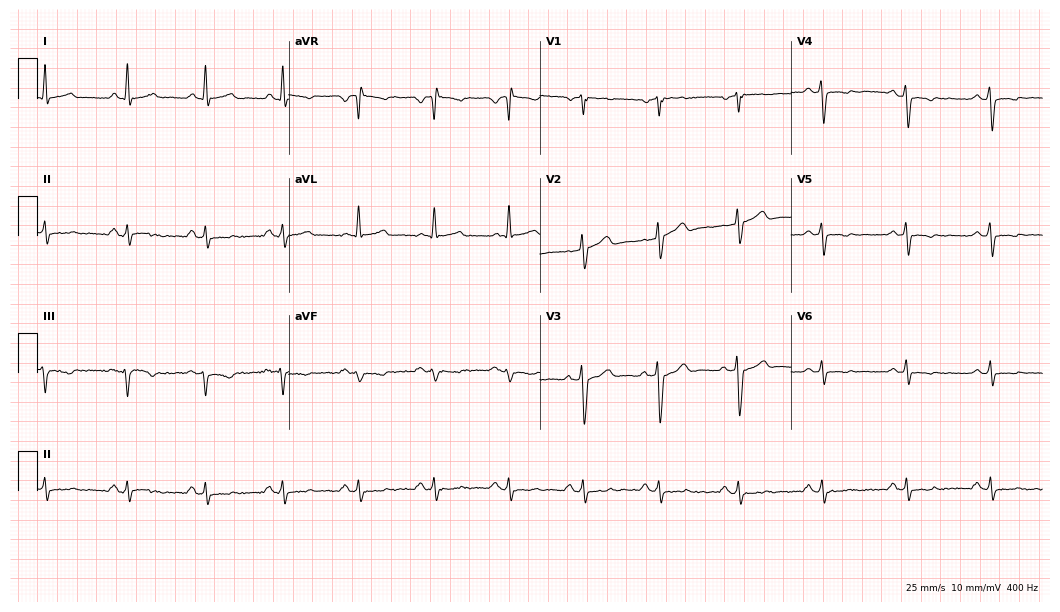
12-lead ECG from a 29-year-old male (10.2-second recording at 400 Hz). No first-degree AV block, right bundle branch block, left bundle branch block, sinus bradycardia, atrial fibrillation or sinus tachycardia recorded for this tracing.